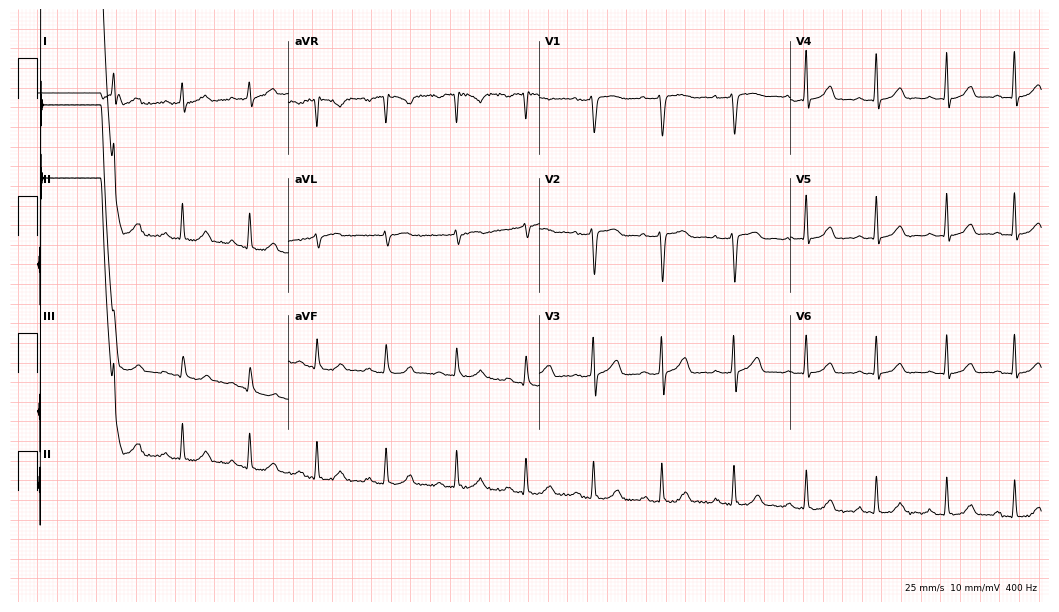
Resting 12-lead electrocardiogram. Patient: a 40-year-old female. None of these six findings is recorded: first-degree AV block, right bundle branch block, left bundle branch block, sinus bradycardia, atrial fibrillation, sinus tachycardia. Only these six findings were labelled.